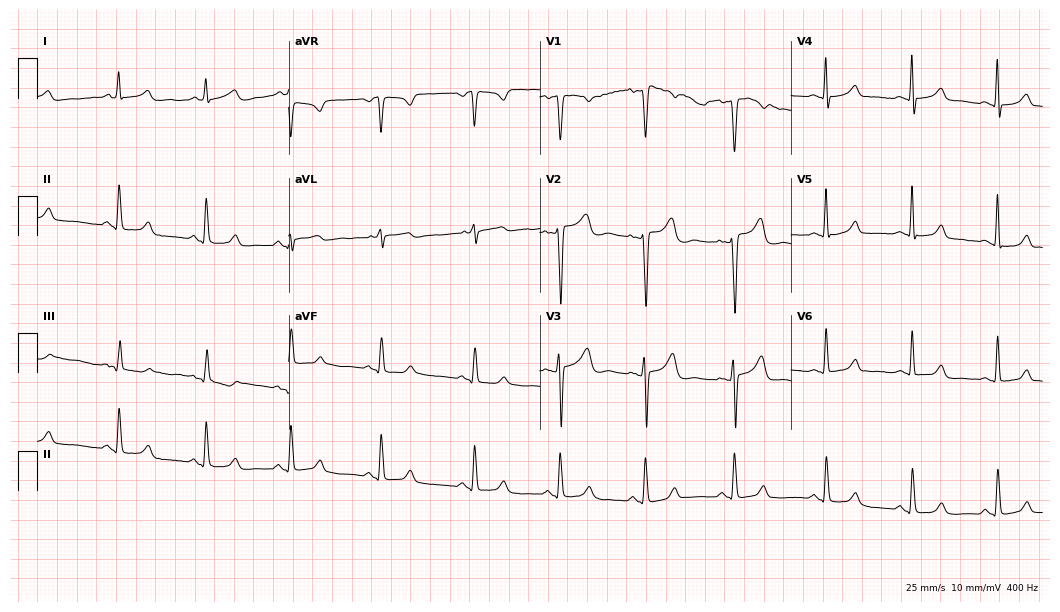
Standard 12-lead ECG recorded from a woman, 46 years old (10.2-second recording at 400 Hz). Read as a normal ECG.